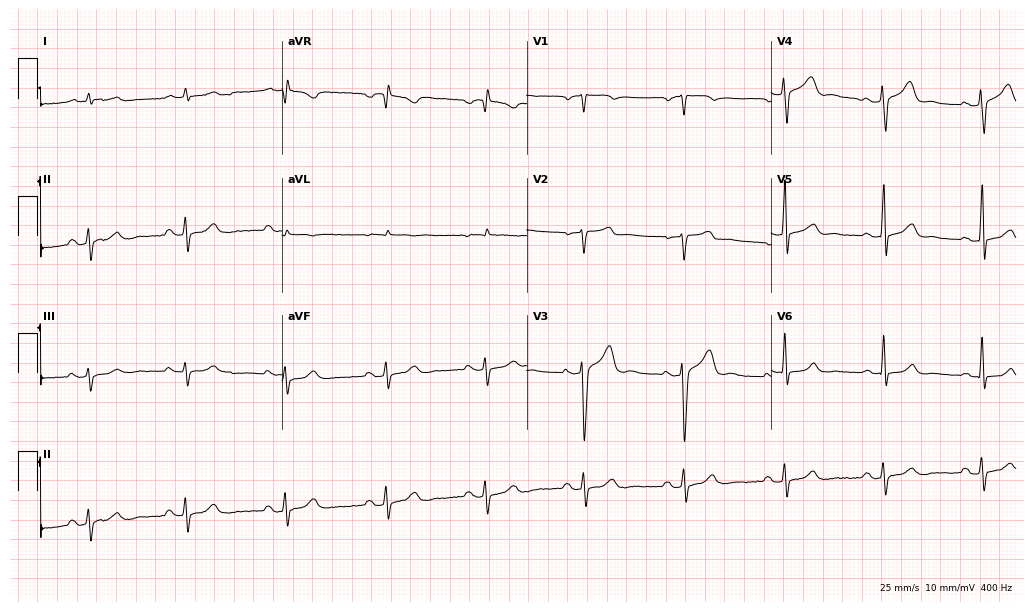
Electrocardiogram (10-second recording at 400 Hz), a 69-year-old male patient. Overall reading on record: normal ECG.